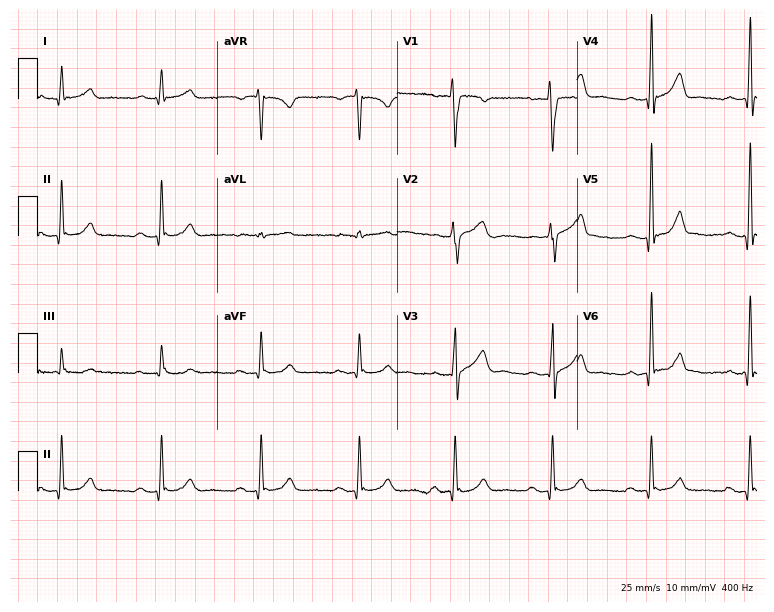
12-lead ECG from a 44-year-old male (7.3-second recording at 400 Hz). Recorded interpretation: within normal limits.